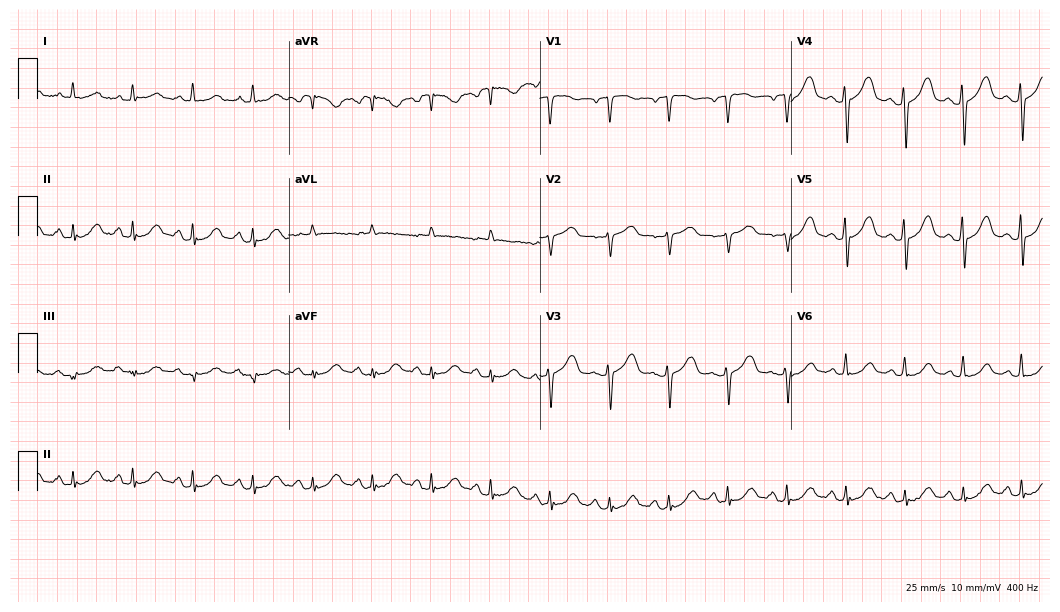
12-lead ECG from a man, 76 years old. No first-degree AV block, right bundle branch block (RBBB), left bundle branch block (LBBB), sinus bradycardia, atrial fibrillation (AF) or sinus tachycardia recorded for this tracing. Other findings, if any, are not listed.